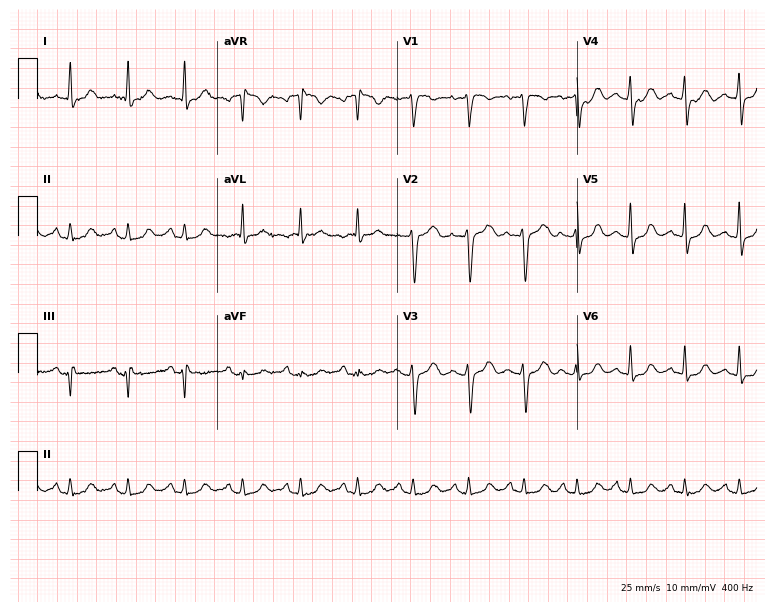
ECG (7.3-second recording at 400 Hz) — a 62-year-old female patient. Findings include sinus tachycardia (a sinus rate of 100 beats per minute or more).